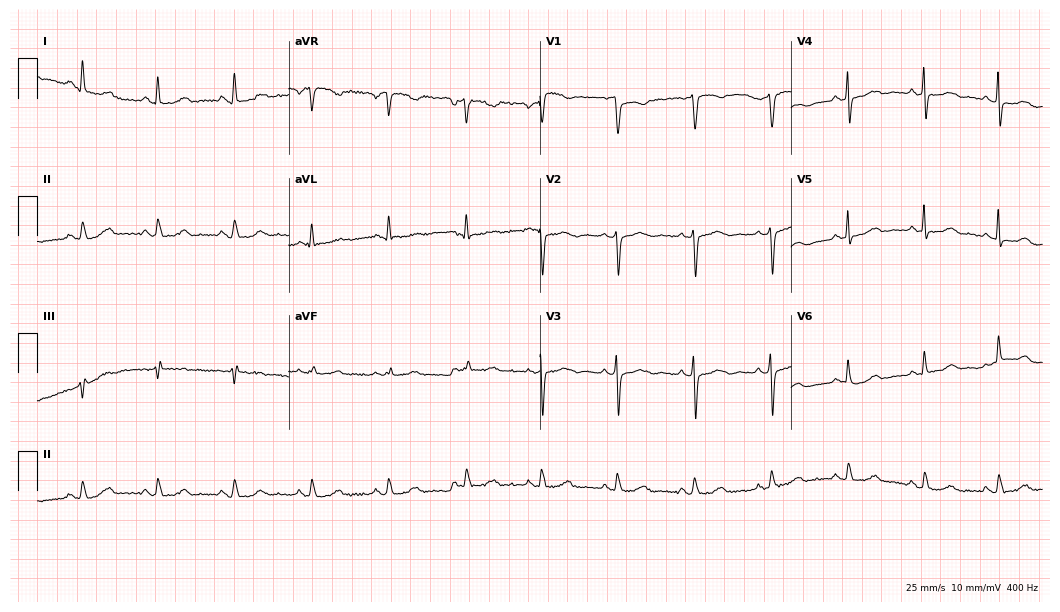
Electrocardiogram (10.2-second recording at 400 Hz), a 62-year-old female patient. Overall reading on record: normal ECG.